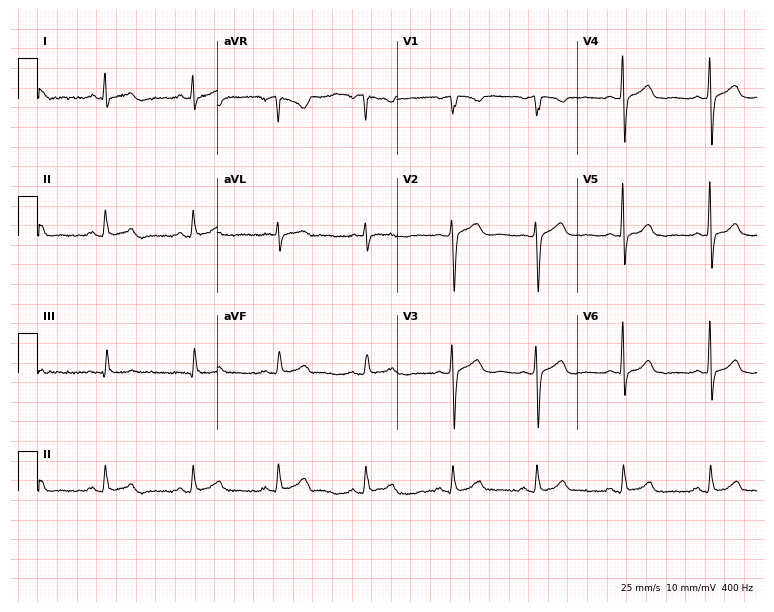
12-lead ECG (7.3-second recording at 400 Hz) from a 46-year-old female patient. Screened for six findings — first-degree AV block, right bundle branch block, left bundle branch block, sinus bradycardia, atrial fibrillation, sinus tachycardia — none is recorded. Other findings, if any, are not listed.